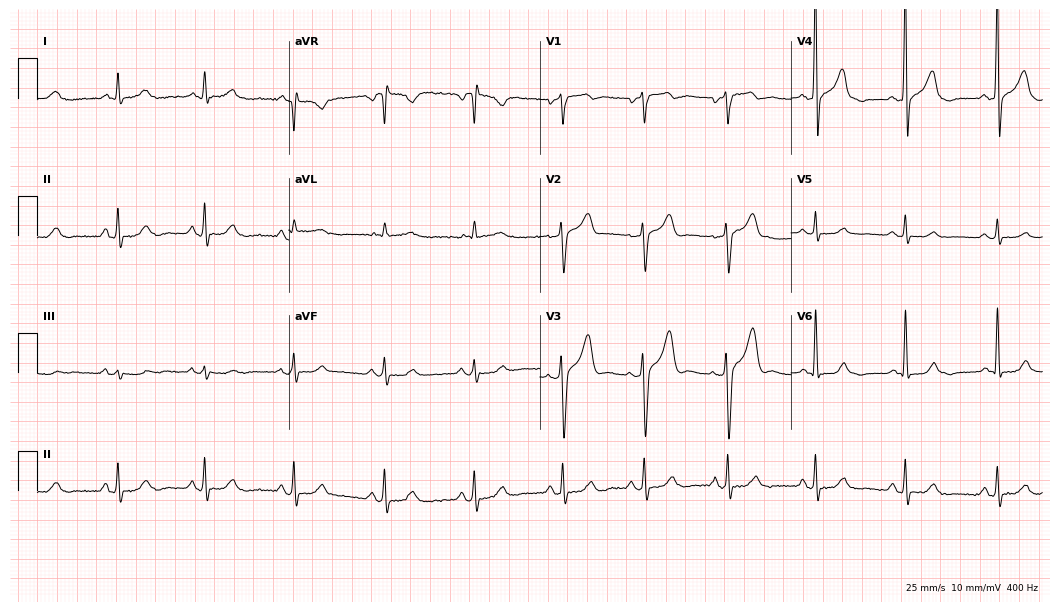
Electrocardiogram, a 68-year-old male patient. Of the six screened findings (first-degree AV block, right bundle branch block, left bundle branch block, sinus bradycardia, atrial fibrillation, sinus tachycardia), none is recorded.